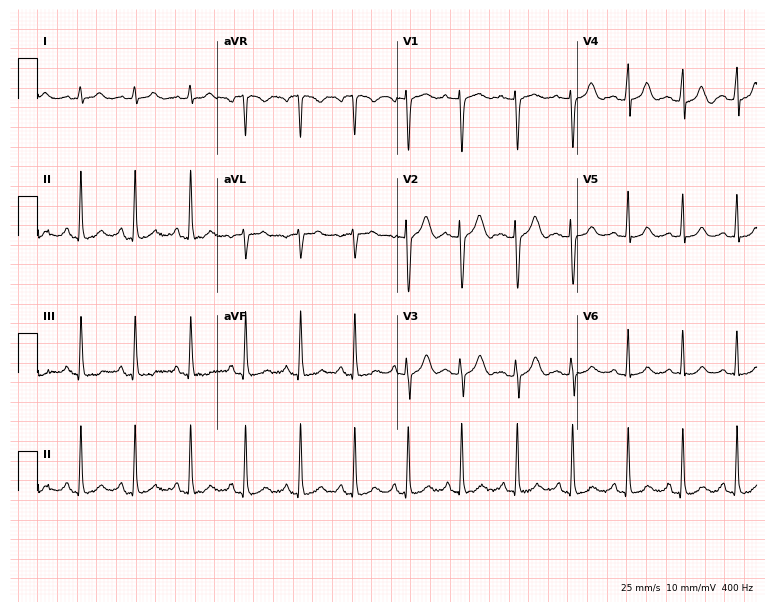
Resting 12-lead electrocardiogram (7.3-second recording at 400 Hz). Patient: a 27-year-old female. The tracing shows sinus tachycardia (a sinus rate of 100 beats per minute or more).